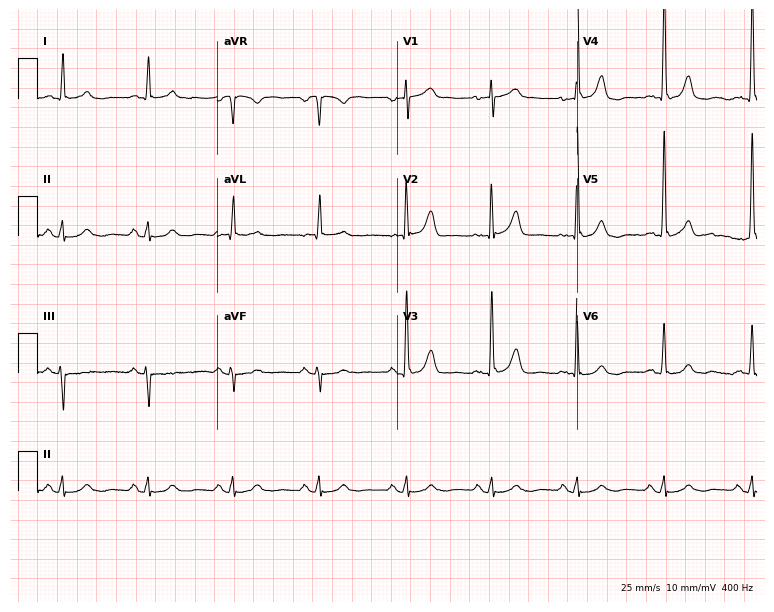
Resting 12-lead electrocardiogram (7.3-second recording at 400 Hz). Patient: a male, 79 years old. None of these six findings is recorded: first-degree AV block, right bundle branch block, left bundle branch block, sinus bradycardia, atrial fibrillation, sinus tachycardia. Only these six findings were labelled.